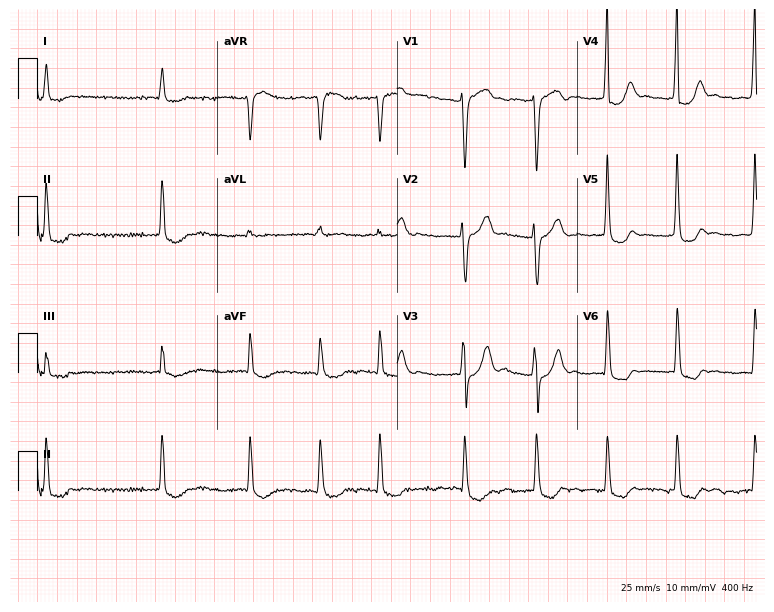
Resting 12-lead electrocardiogram. Patient: a 74-year-old woman. The tracing shows atrial fibrillation.